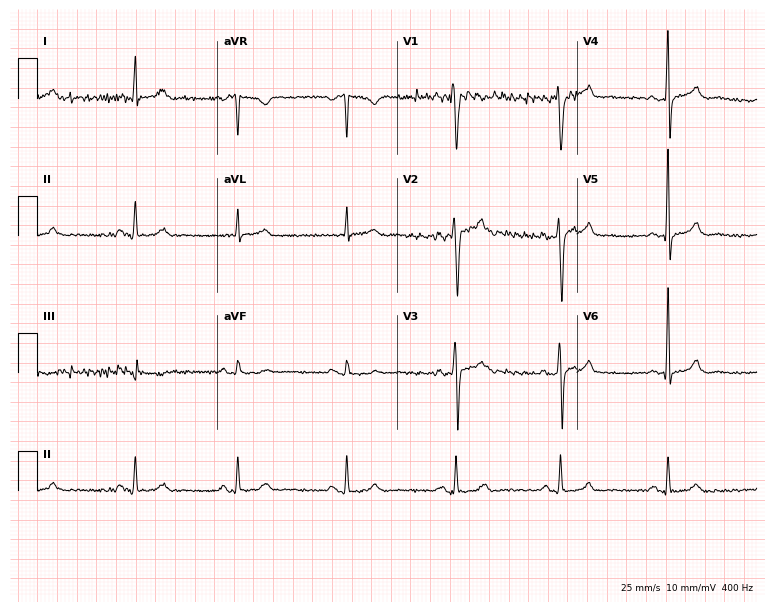
12-lead ECG from a 43-year-old male patient (7.3-second recording at 400 Hz). No first-degree AV block, right bundle branch block, left bundle branch block, sinus bradycardia, atrial fibrillation or sinus tachycardia recorded for this tracing.